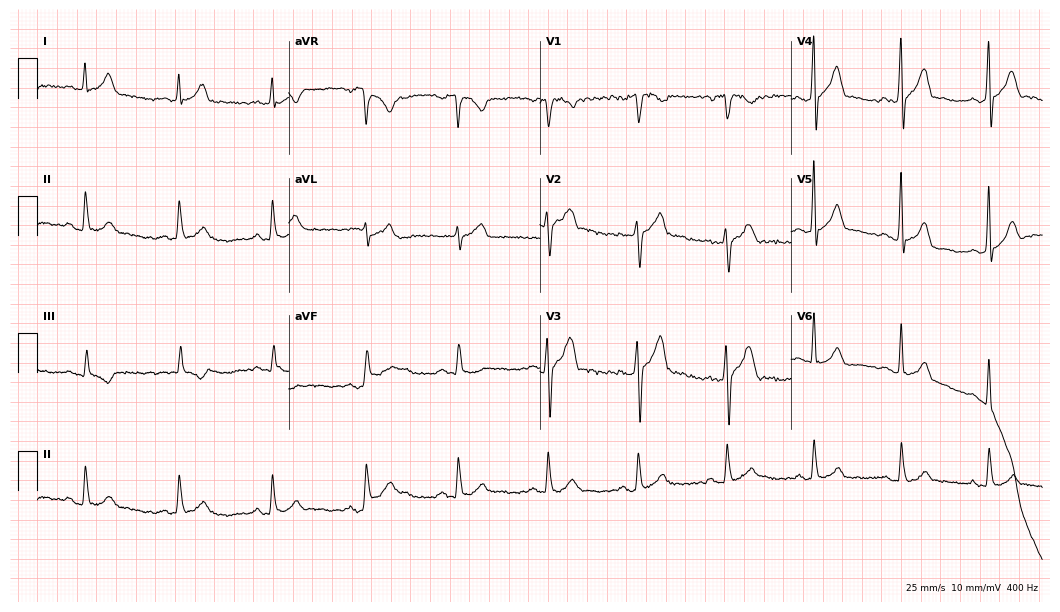
12-lead ECG from a 40-year-old male (10.2-second recording at 400 Hz). Recorded interpretation: within normal limits.